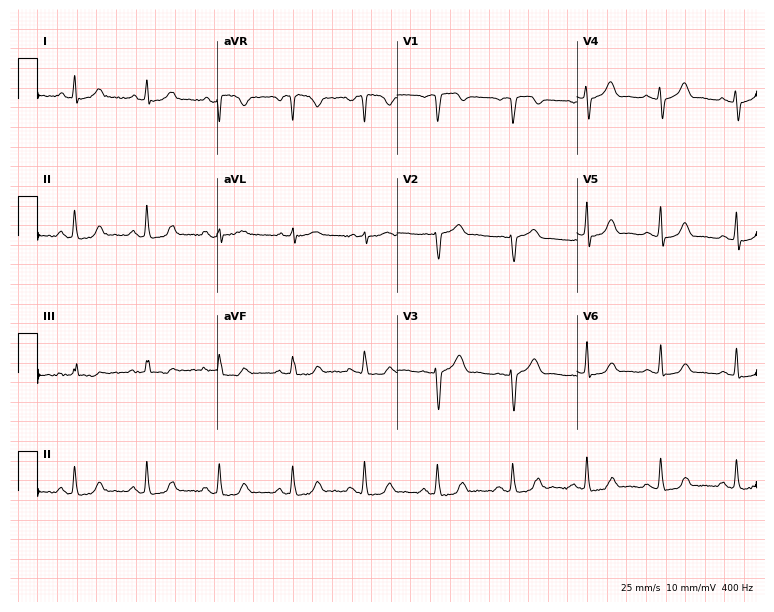
Electrocardiogram (7.3-second recording at 400 Hz), a 41-year-old woman. Of the six screened findings (first-degree AV block, right bundle branch block, left bundle branch block, sinus bradycardia, atrial fibrillation, sinus tachycardia), none is recorded.